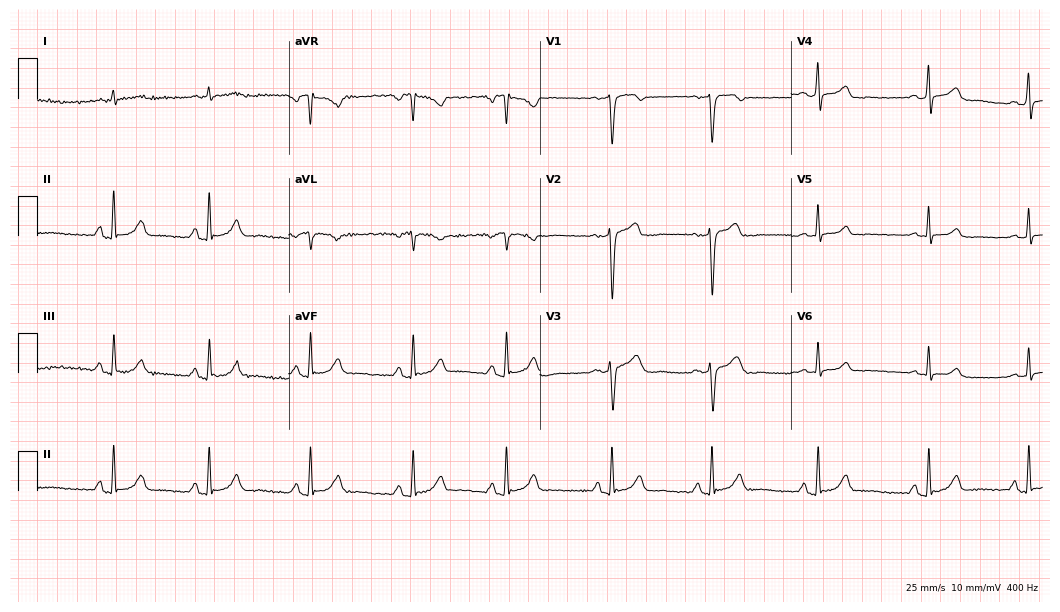
Resting 12-lead electrocardiogram. Patient: a male, 42 years old. Read as a normal ECG.